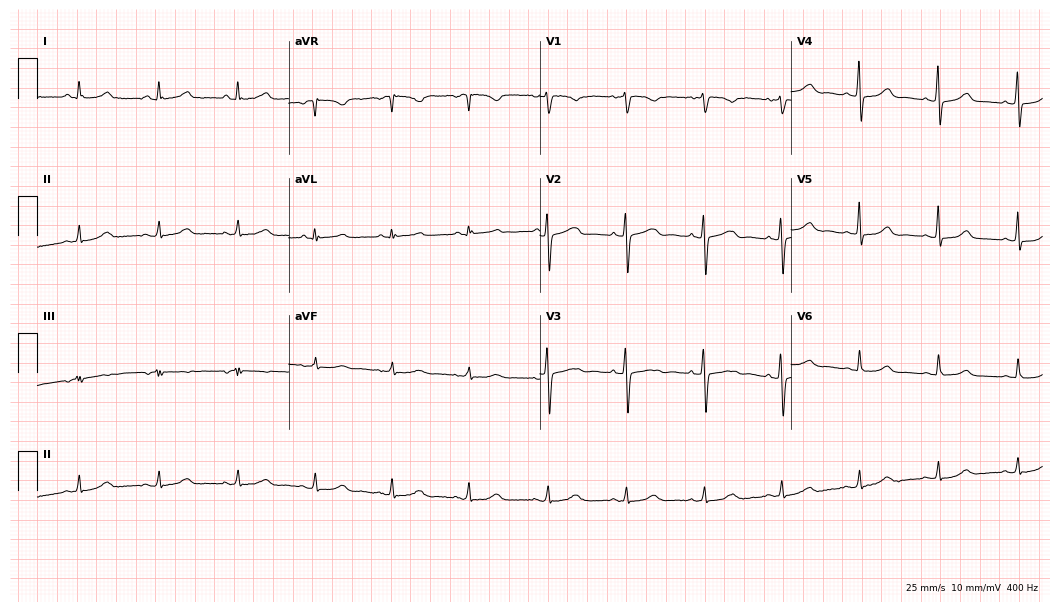
12-lead ECG from a woman, 35 years old (10.2-second recording at 400 Hz). No first-degree AV block, right bundle branch block (RBBB), left bundle branch block (LBBB), sinus bradycardia, atrial fibrillation (AF) or sinus tachycardia recorded for this tracing. Other findings, if any, are not listed.